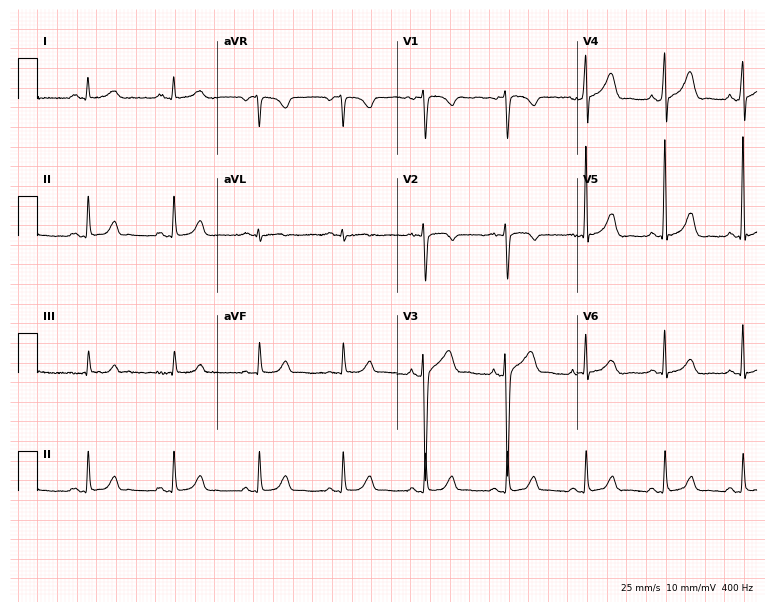
Resting 12-lead electrocardiogram. Patient: a male, 53 years old. Read as a normal ECG.